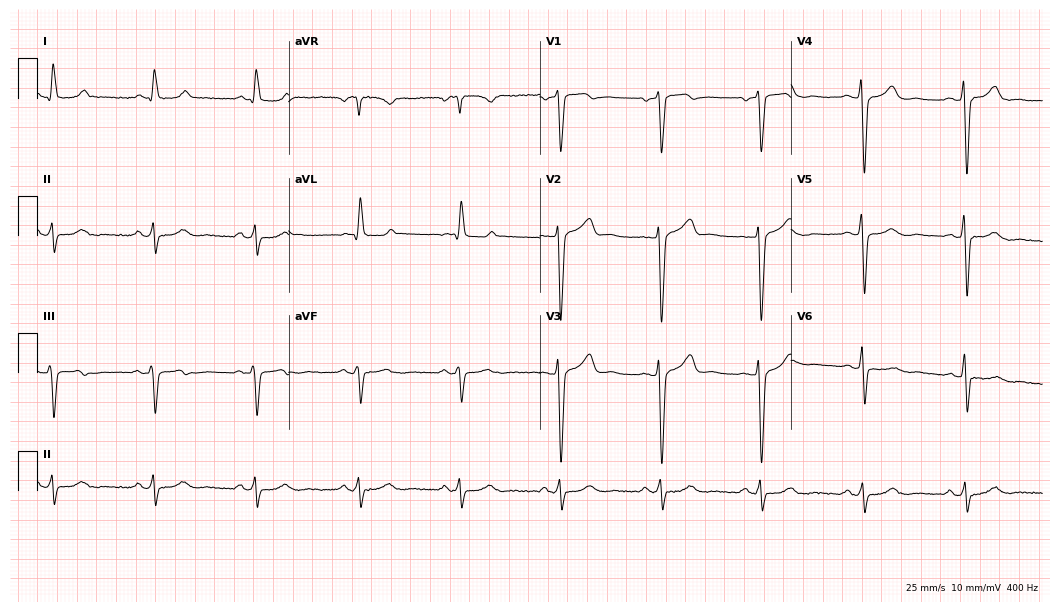
Electrocardiogram, a male patient, 48 years old. Of the six screened findings (first-degree AV block, right bundle branch block (RBBB), left bundle branch block (LBBB), sinus bradycardia, atrial fibrillation (AF), sinus tachycardia), none is recorded. Only these six findings were labelled.